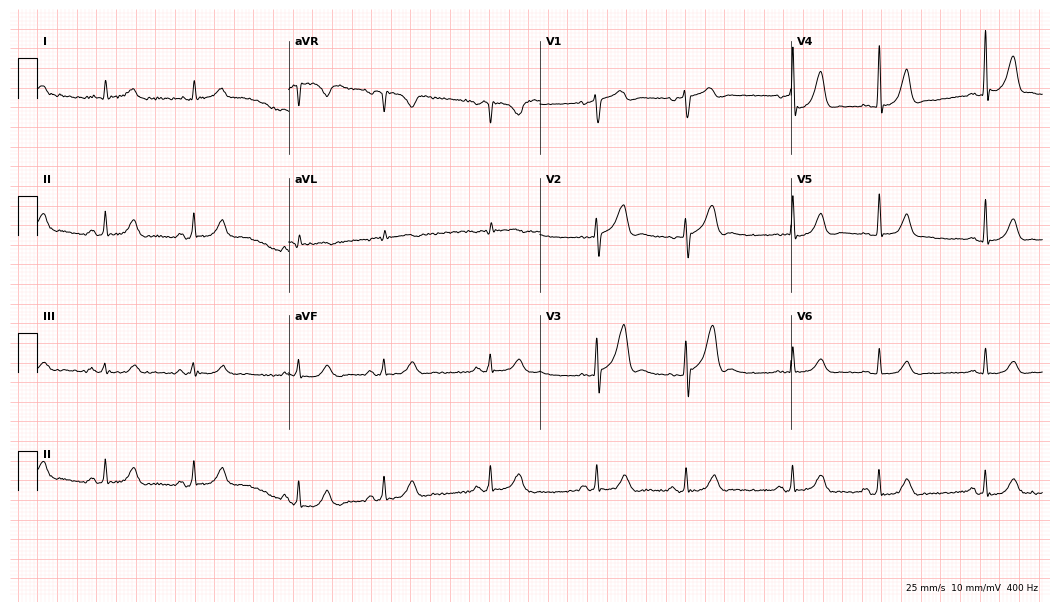
Resting 12-lead electrocardiogram. Patient: a 70-year-old male. Read as a normal ECG.